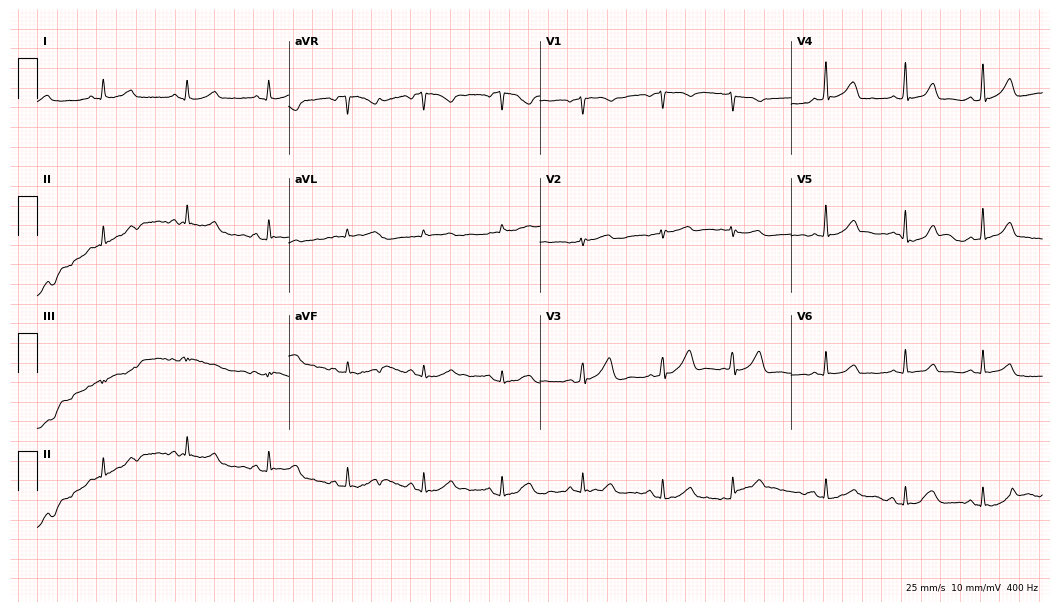
12-lead ECG from a 48-year-old woman. No first-degree AV block, right bundle branch block, left bundle branch block, sinus bradycardia, atrial fibrillation or sinus tachycardia recorded for this tracing. Only these six findings were labelled.